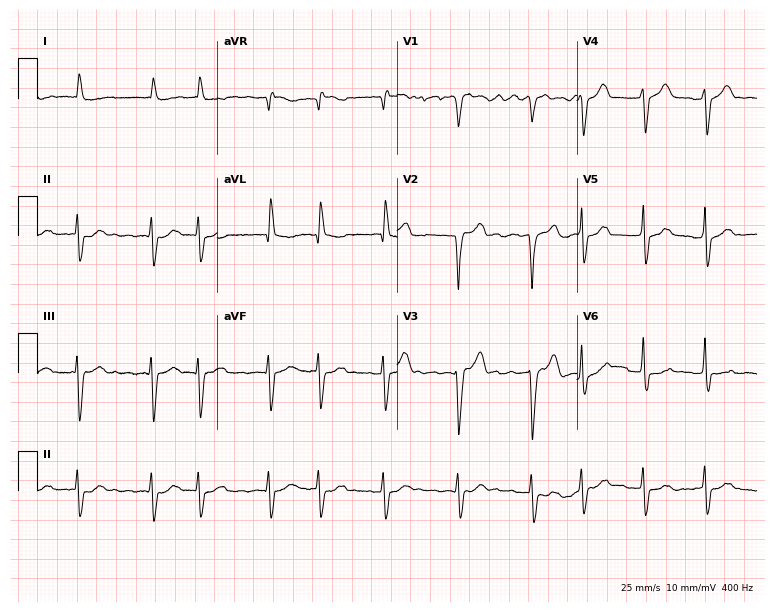
Resting 12-lead electrocardiogram (7.3-second recording at 400 Hz). Patient: an 82-year-old woman. The tracing shows atrial fibrillation.